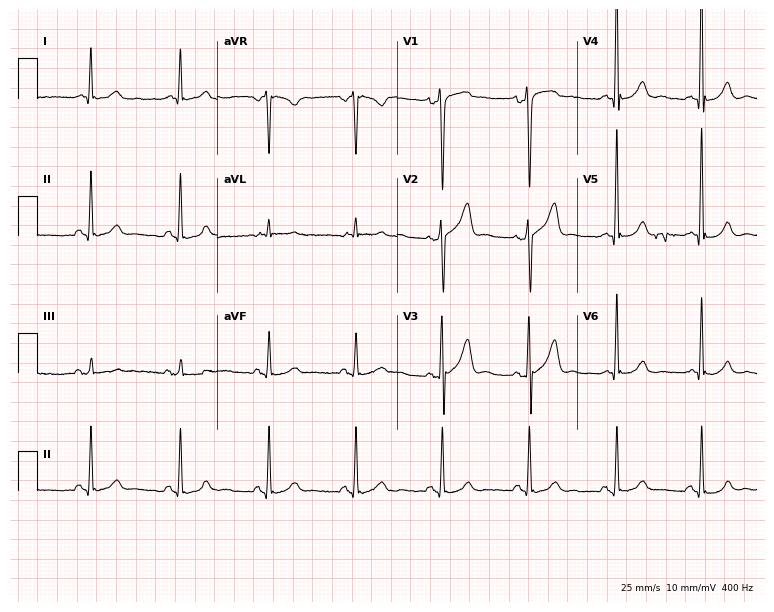
Electrocardiogram (7.3-second recording at 400 Hz), a male patient, 58 years old. Overall reading on record: normal ECG.